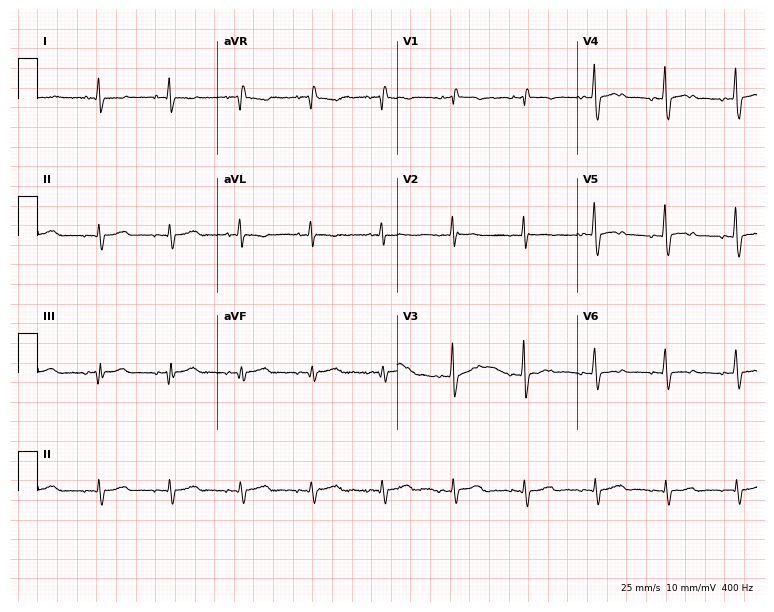
Resting 12-lead electrocardiogram. Patient: a female, 55 years old. None of these six findings is recorded: first-degree AV block, right bundle branch block (RBBB), left bundle branch block (LBBB), sinus bradycardia, atrial fibrillation (AF), sinus tachycardia. Only these six findings were labelled.